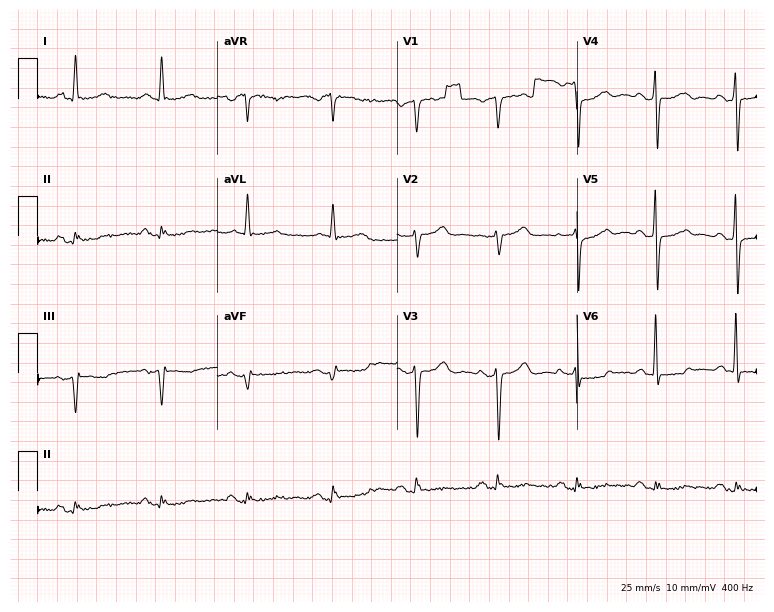
Resting 12-lead electrocardiogram. Patient: a male, 61 years old. None of these six findings is recorded: first-degree AV block, right bundle branch block, left bundle branch block, sinus bradycardia, atrial fibrillation, sinus tachycardia. Findings outside these six are not listed.